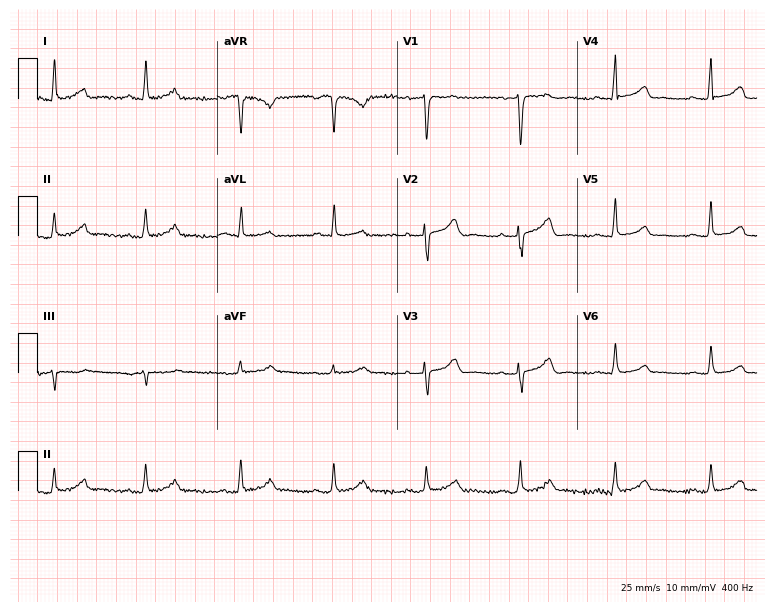
12-lead ECG from a female patient, 57 years old. Findings include first-degree AV block.